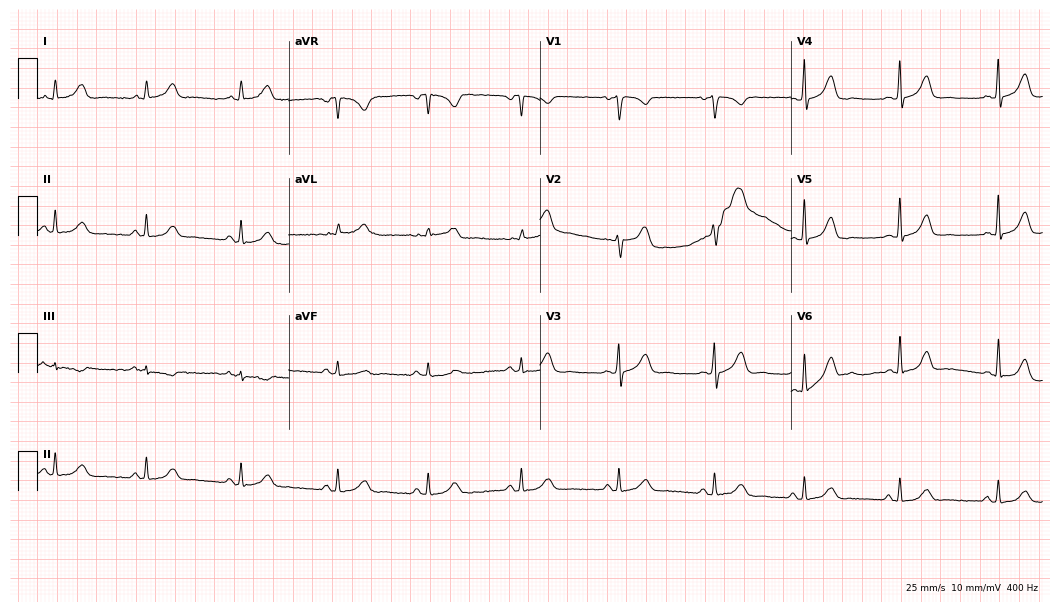
ECG — a woman, 31 years old. Screened for six findings — first-degree AV block, right bundle branch block, left bundle branch block, sinus bradycardia, atrial fibrillation, sinus tachycardia — none is recorded.